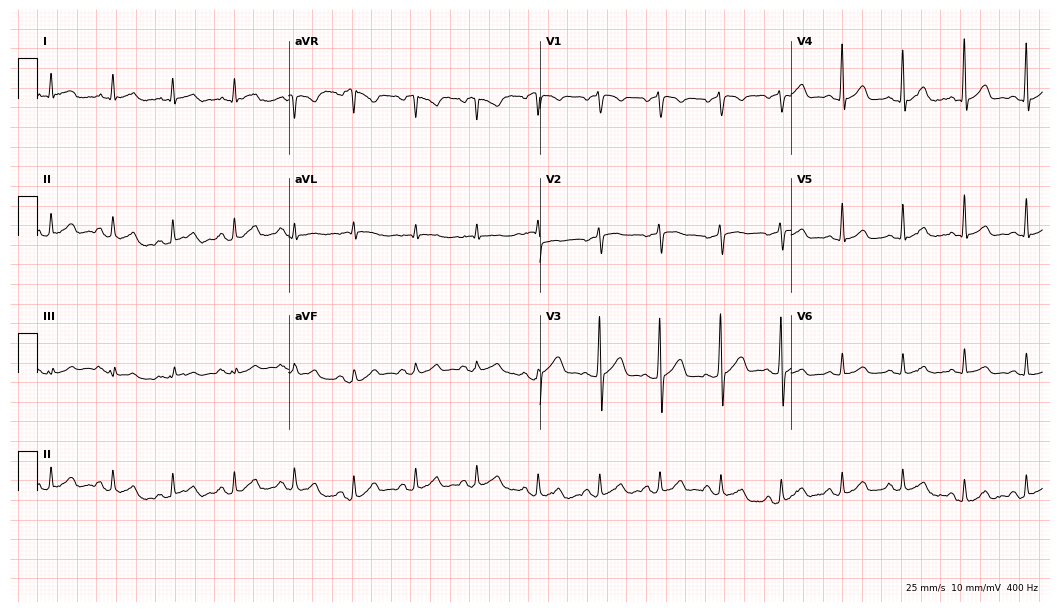
Electrocardiogram, a 49-year-old male. Of the six screened findings (first-degree AV block, right bundle branch block, left bundle branch block, sinus bradycardia, atrial fibrillation, sinus tachycardia), none is recorded. Other findings, if any, are not listed.